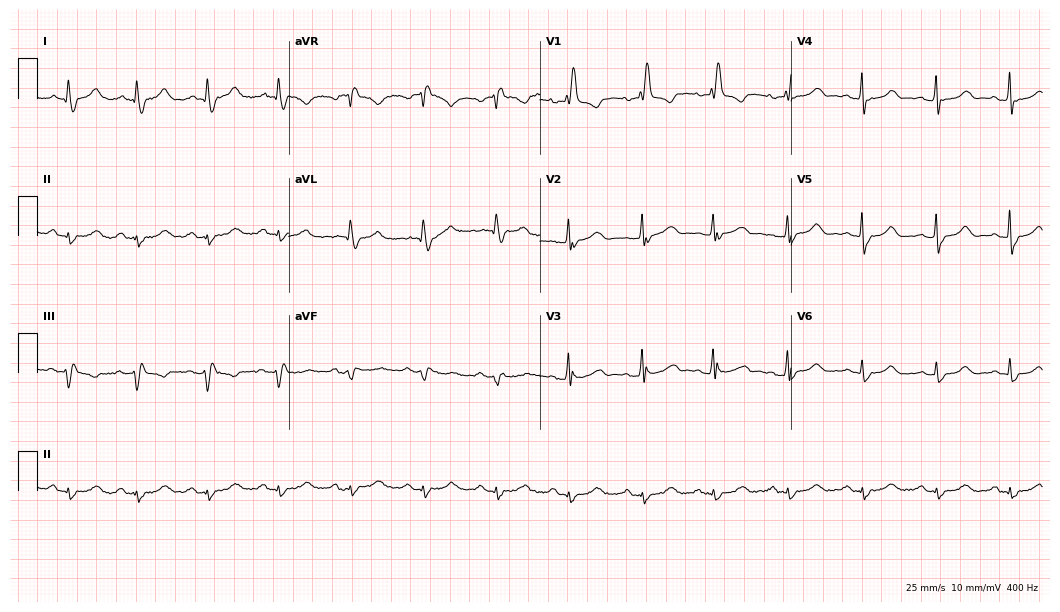
Standard 12-lead ECG recorded from a 69-year-old woman. The tracing shows right bundle branch block.